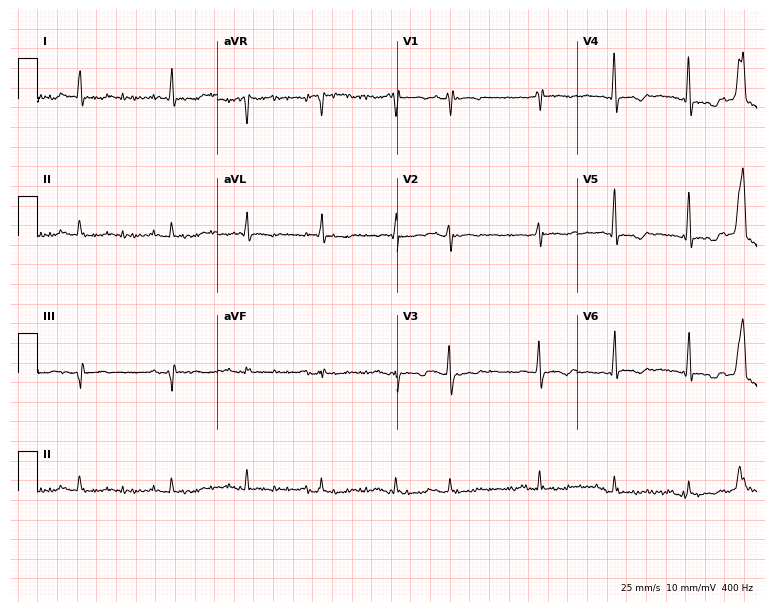
Standard 12-lead ECG recorded from a man, 67 years old. None of these six findings is recorded: first-degree AV block, right bundle branch block, left bundle branch block, sinus bradycardia, atrial fibrillation, sinus tachycardia. Only these six findings were labelled.